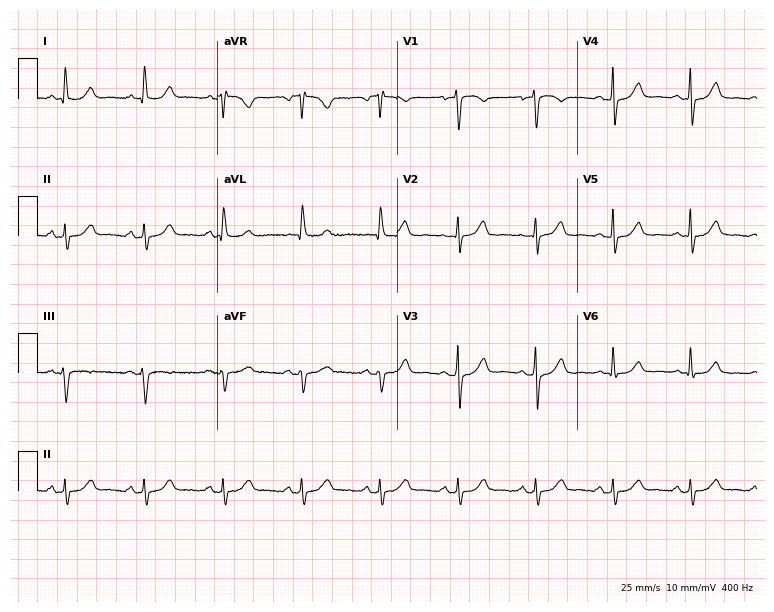
Resting 12-lead electrocardiogram. Patient: a 78-year-old woman. Read as a normal ECG.